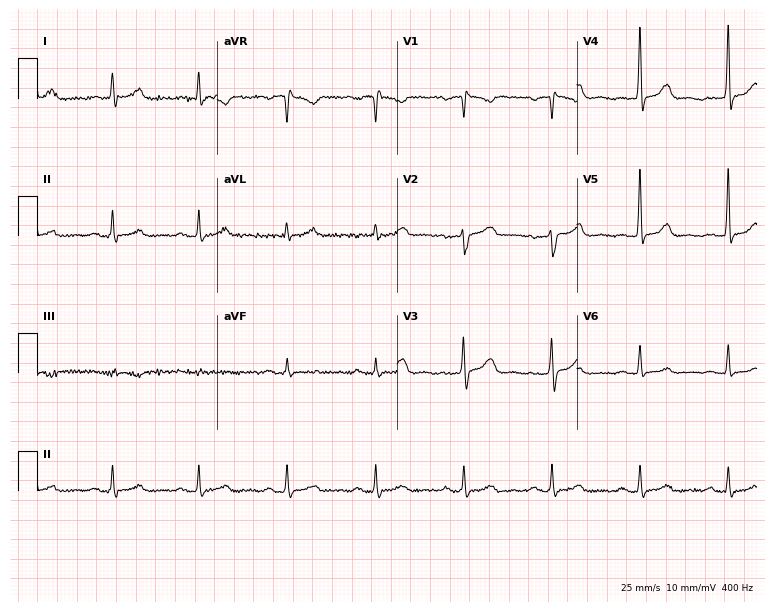
Standard 12-lead ECG recorded from a male, 52 years old (7.3-second recording at 400 Hz). None of these six findings is recorded: first-degree AV block, right bundle branch block, left bundle branch block, sinus bradycardia, atrial fibrillation, sinus tachycardia. Findings outside these six are not listed.